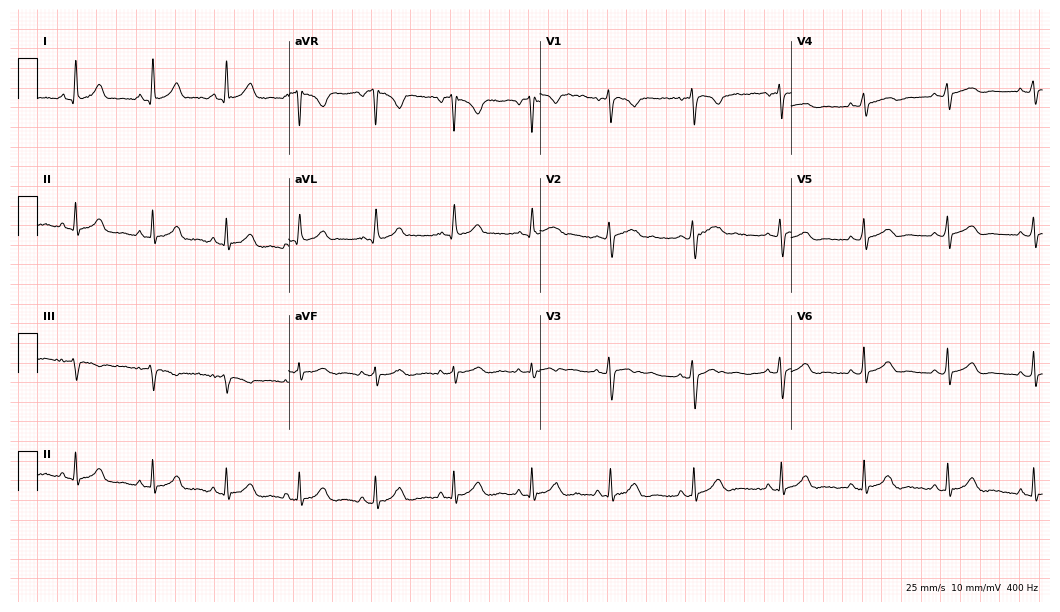
ECG — a 17-year-old woman. Labelled as a normal ECG.